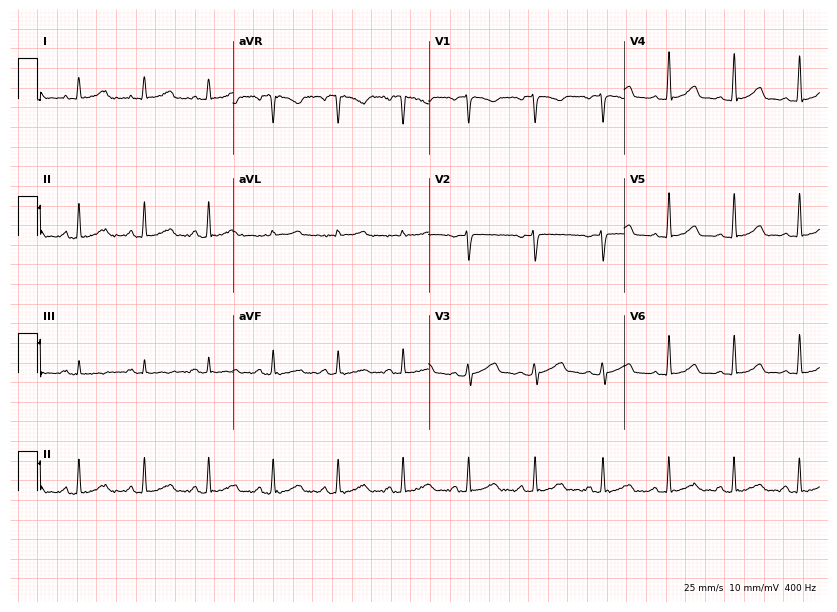
Standard 12-lead ECG recorded from a female, 29 years old. Read as a normal ECG.